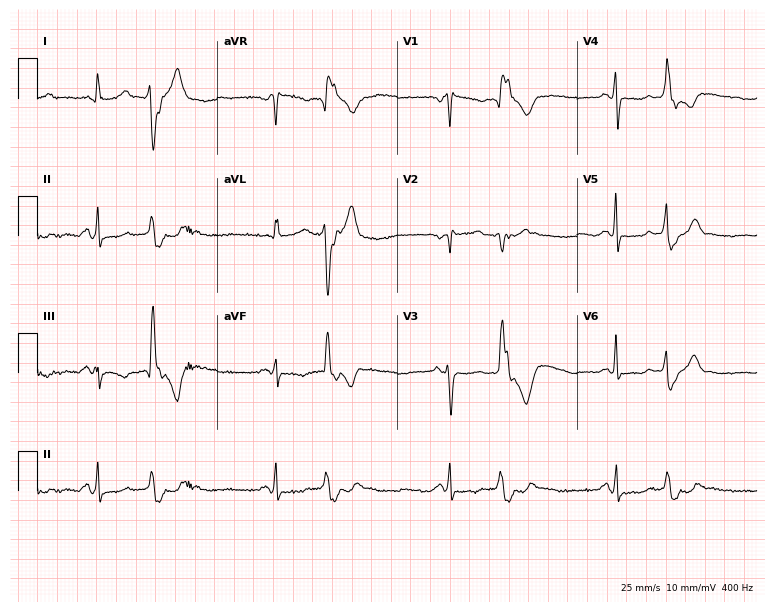
12-lead ECG from a woman, 48 years old. No first-degree AV block, right bundle branch block, left bundle branch block, sinus bradycardia, atrial fibrillation or sinus tachycardia recorded for this tracing.